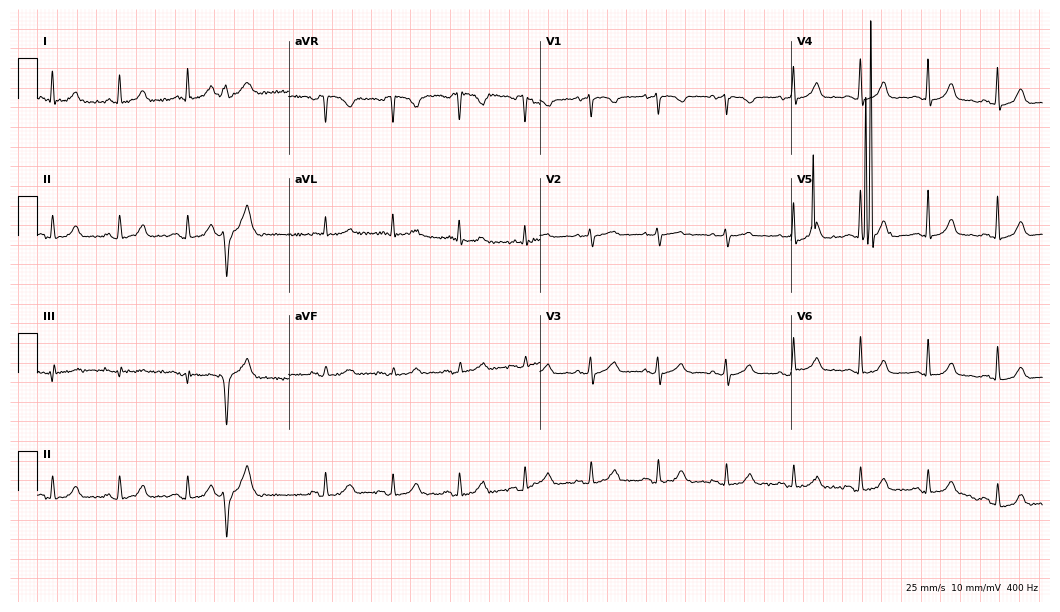
ECG — an 80-year-old female. Screened for six findings — first-degree AV block, right bundle branch block (RBBB), left bundle branch block (LBBB), sinus bradycardia, atrial fibrillation (AF), sinus tachycardia — none is recorded.